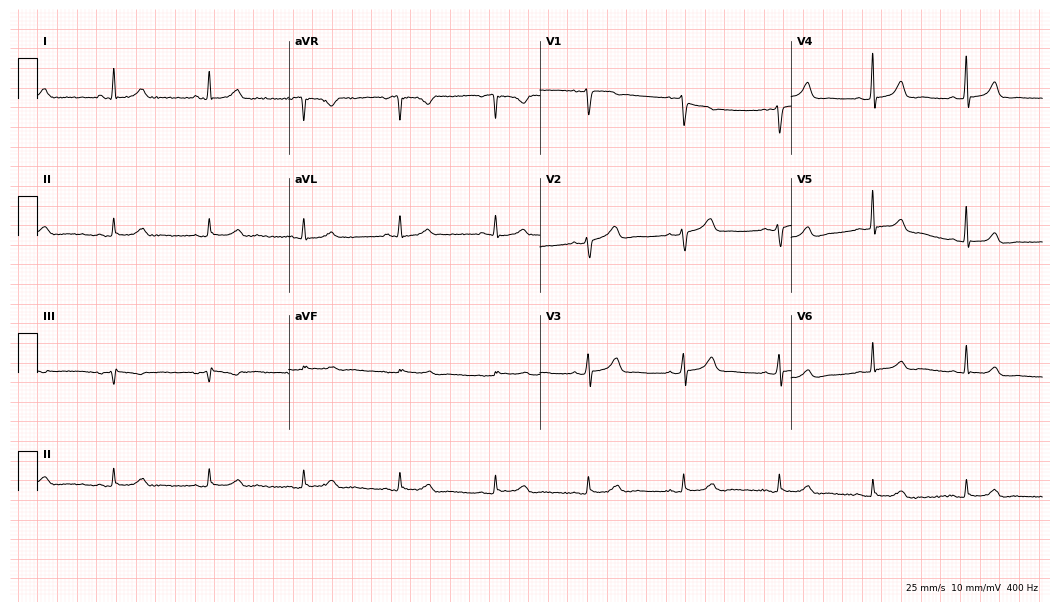
Electrocardiogram, a female, 57 years old. Overall reading on record: normal ECG.